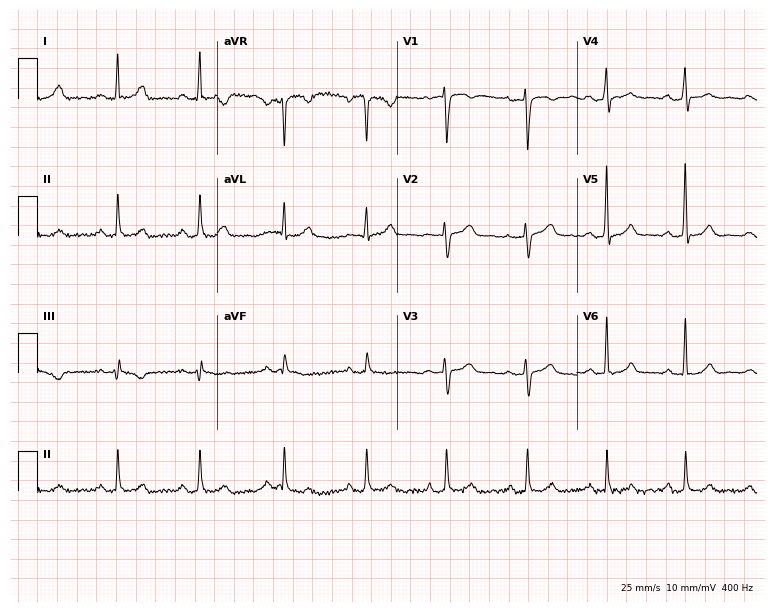
Standard 12-lead ECG recorded from a female patient, 53 years old (7.3-second recording at 400 Hz). None of these six findings is recorded: first-degree AV block, right bundle branch block, left bundle branch block, sinus bradycardia, atrial fibrillation, sinus tachycardia.